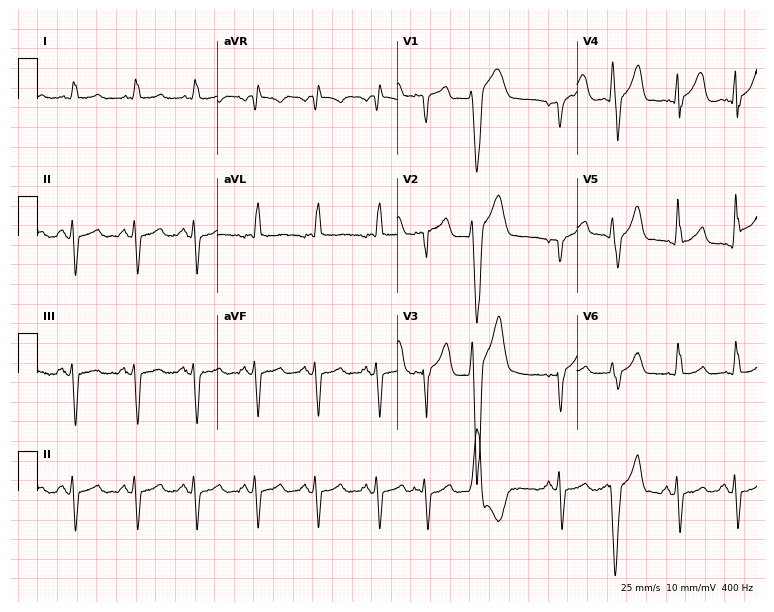
12-lead ECG from a 79-year-old male patient. Screened for six findings — first-degree AV block, right bundle branch block, left bundle branch block, sinus bradycardia, atrial fibrillation, sinus tachycardia — none is recorded. Other findings, if any, are not listed.